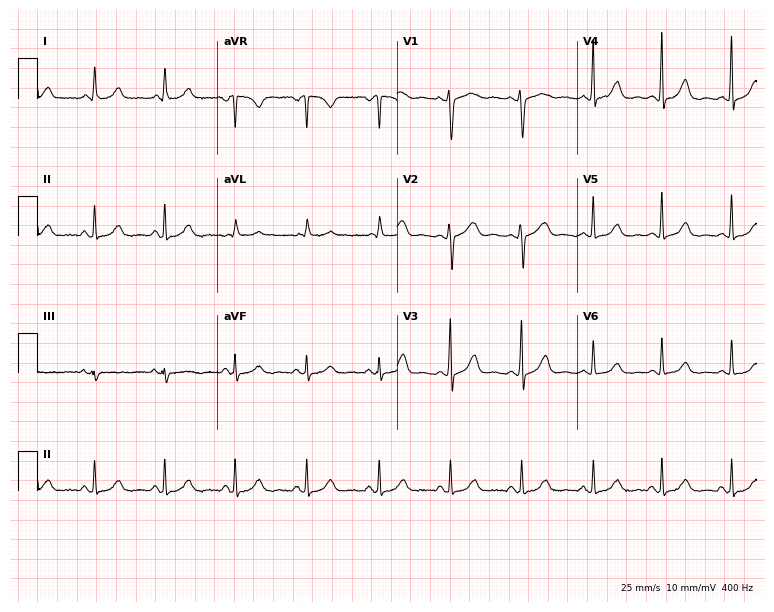
12-lead ECG (7.3-second recording at 400 Hz) from a 43-year-old female. Labelled as a normal ECG.